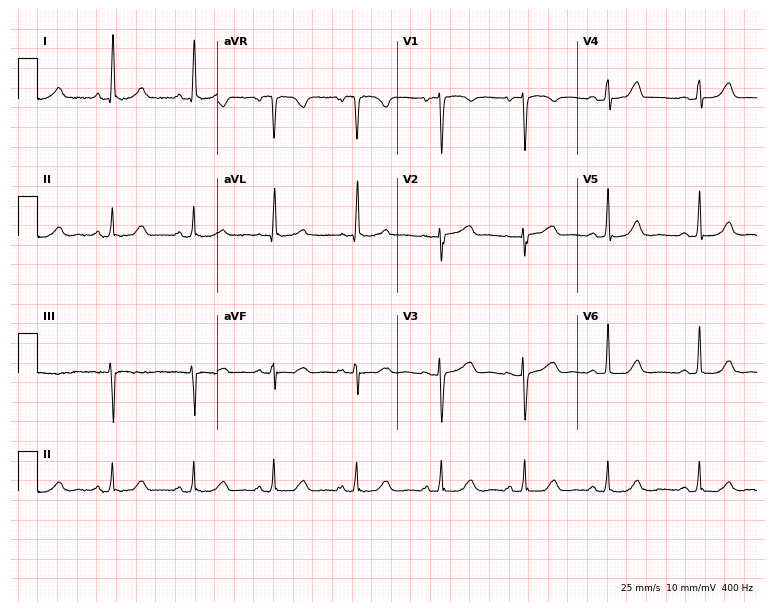
12-lead ECG (7.3-second recording at 400 Hz) from a 50-year-old woman. Screened for six findings — first-degree AV block, right bundle branch block, left bundle branch block, sinus bradycardia, atrial fibrillation, sinus tachycardia — none is recorded.